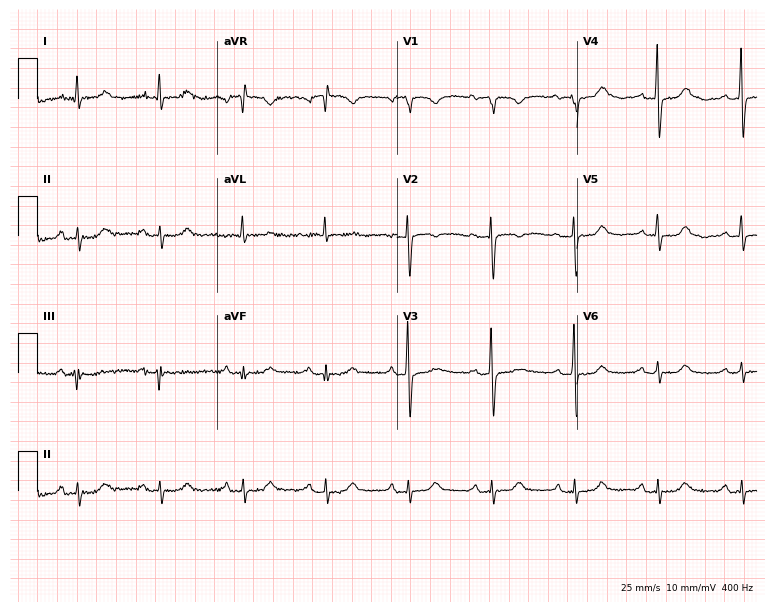
ECG — a 76-year-old woman. Screened for six findings — first-degree AV block, right bundle branch block, left bundle branch block, sinus bradycardia, atrial fibrillation, sinus tachycardia — none is recorded.